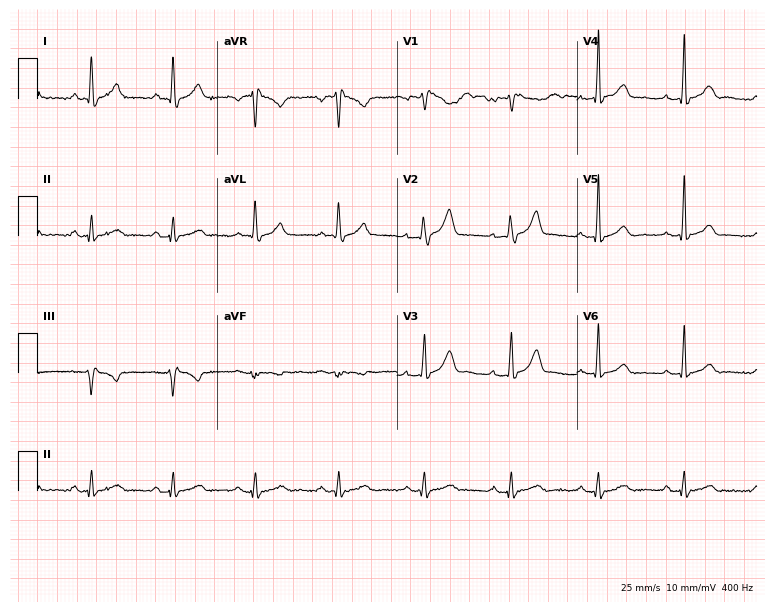
Resting 12-lead electrocardiogram. Patient: a male, 57 years old. None of these six findings is recorded: first-degree AV block, right bundle branch block, left bundle branch block, sinus bradycardia, atrial fibrillation, sinus tachycardia.